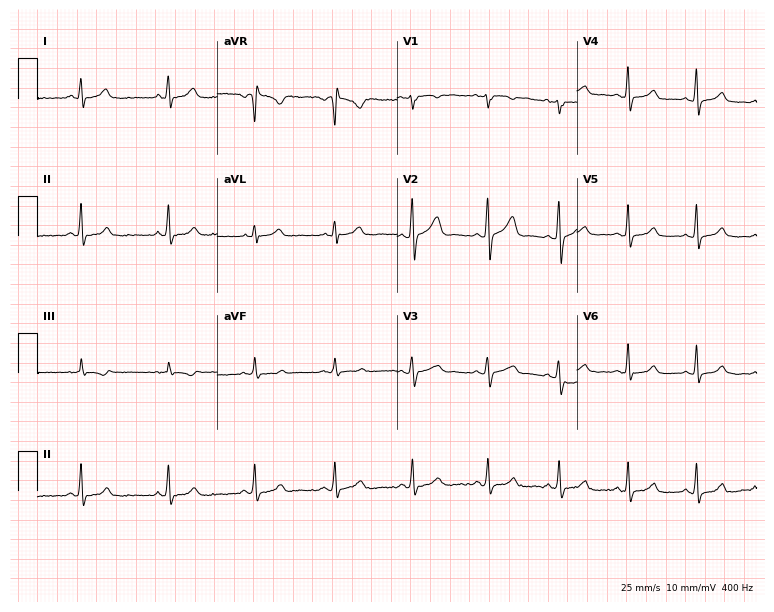
ECG — a woman, 25 years old. Screened for six findings — first-degree AV block, right bundle branch block, left bundle branch block, sinus bradycardia, atrial fibrillation, sinus tachycardia — none is recorded. Only these six findings were labelled.